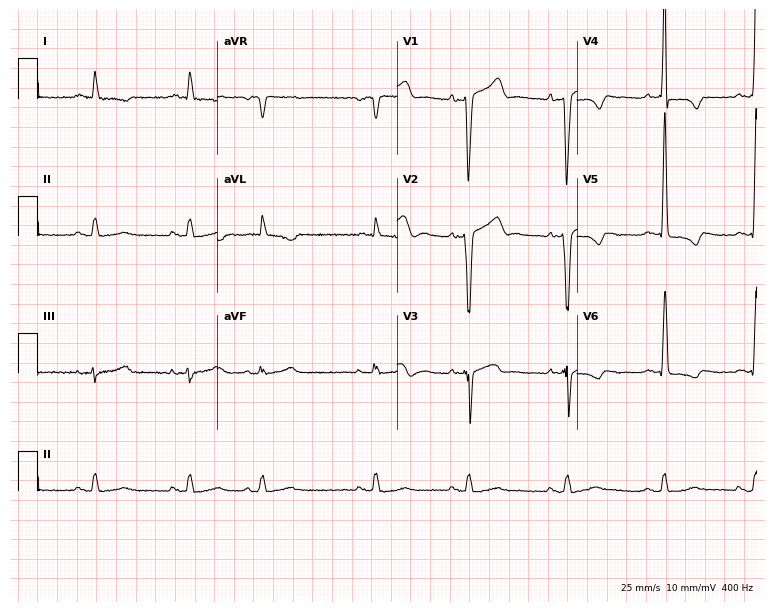
12-lead ECG from a 59-year-old male patient. No first-degree AV block, right bundle branch block (RBBB), left bundle branch block (LBBB), sinus bradycardia, atrial fibrillation (AF) or sinus tachycardia recorded for this tracing. Findings outside these six are not listed.